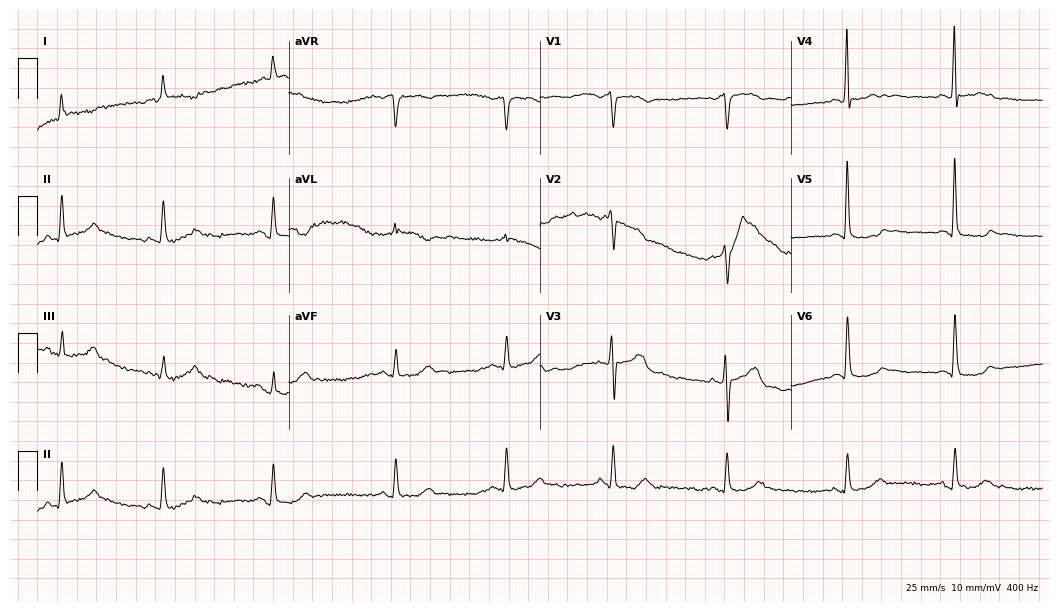
Standard 12-lead ECG recorded from a 77-year-old man (10.2-second recording at 400 Hz). None of these six findings is recorded: first-degree AV block, right bundle branch block, left bundle branch block, sinus bradycardia, atrial fibrillation, sinus tachycardia. Other findings, if any, are not listed.